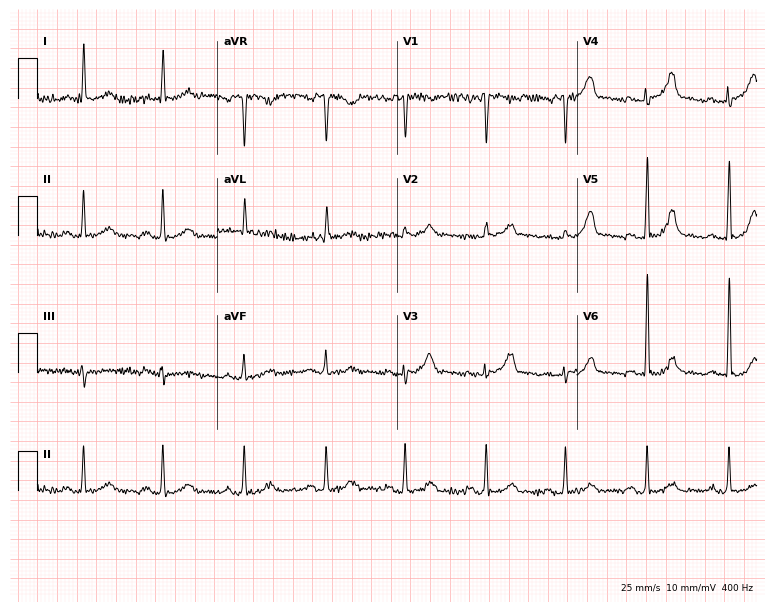
Standard 12-lead ECG recorded from a 61-year-old woman. Read as a normal ECG.